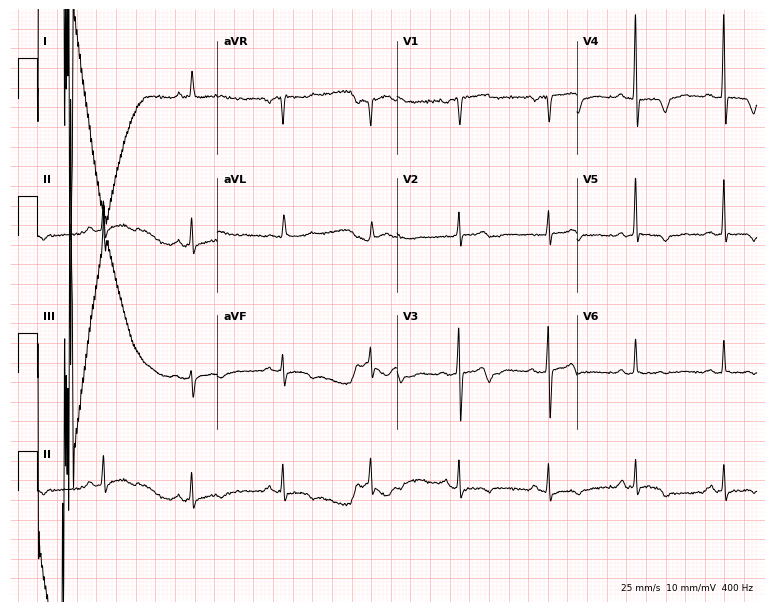
Electrocardiogram (7.3-second recording at 400 Hz), a female, 84 years old. Of the six screened findings (first-degree AV block, right bundle branch block, left bundle branch block, sinus bradycardia, atrial fibrillation, sinus tachycardia), none is recorded.